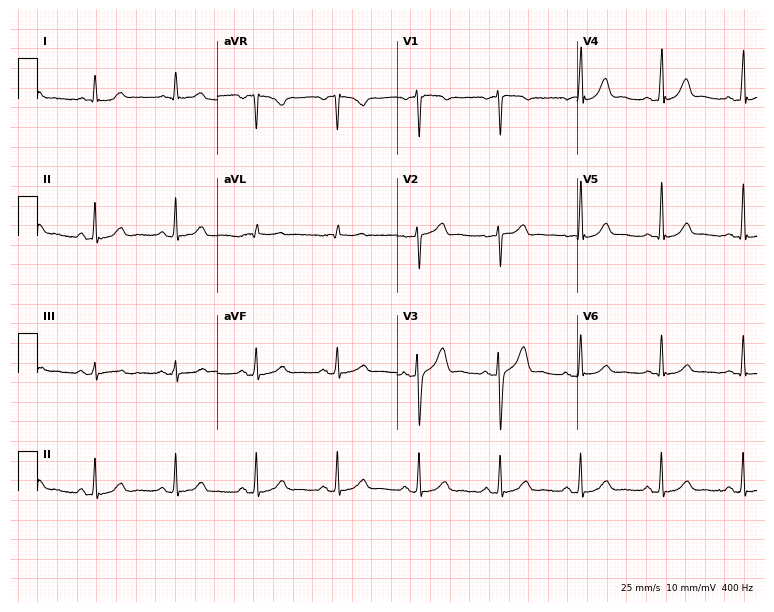
Resting 12-lead electrocardiogram (7.3-second recording at 400 Hz). Patient: a 54-year-old male. Read as a normal ECG.